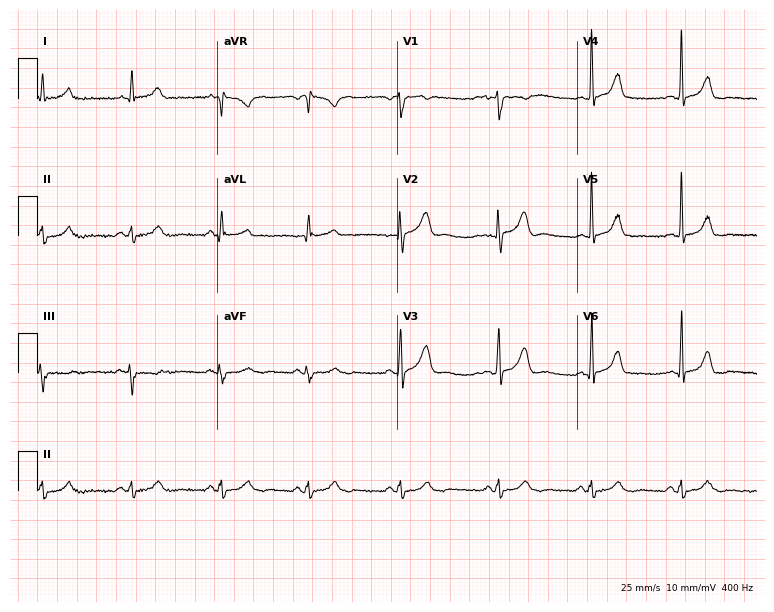
12-lead ECG from a female, 39 years old (7.3-second recording at 400 Hz). Recorded interpretation: within normal limits.